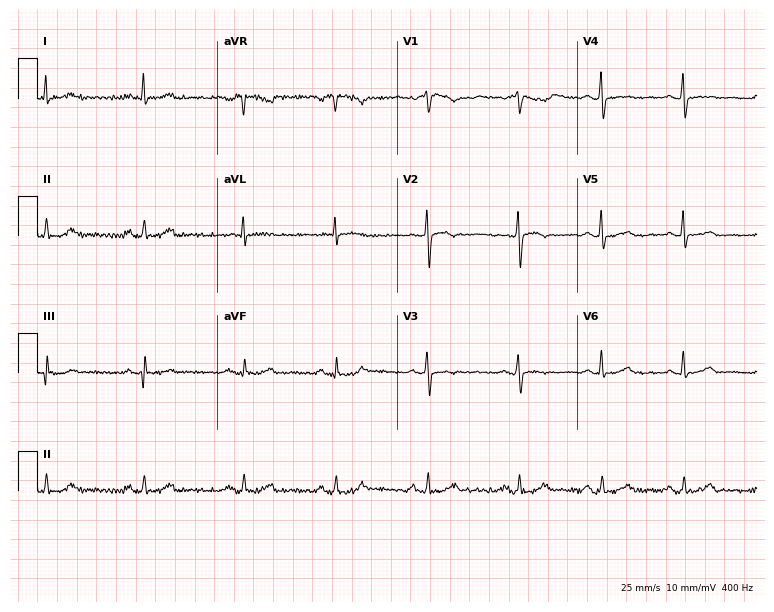
12-lead ECG from a woman, 55 years old (7.3-second recording at 400 Hz). No first-degree AV block, right bundle branch block, left bundle branch block, sinus bradycardia, atrial fibrillation or sinus tachycardia recorded for this tracing.